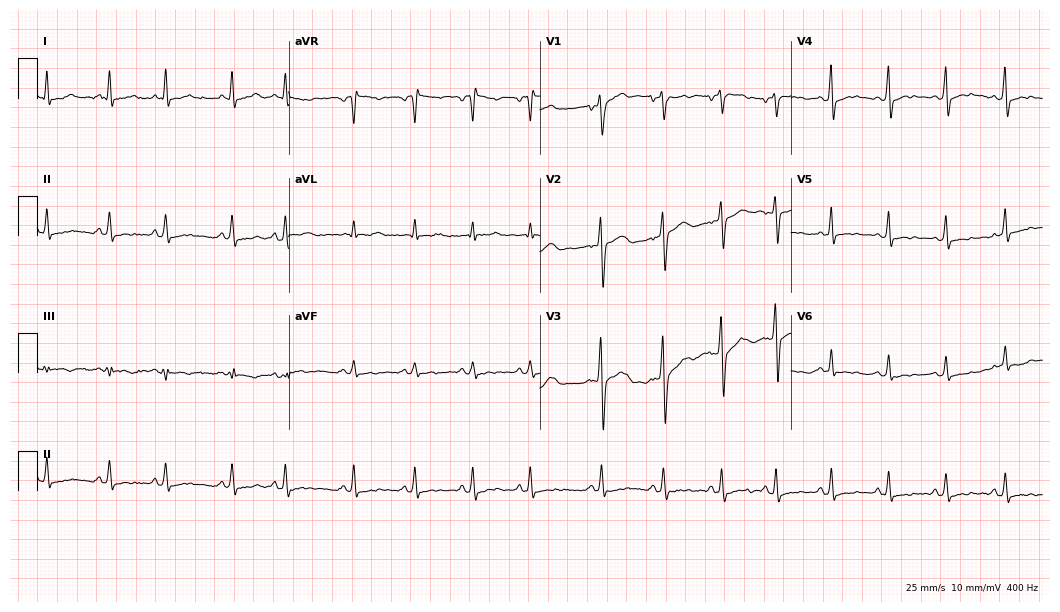
ECG — a male, 20 years old. Screened for six findings — first-degree AV block, right bundle branch block, left bundle branch block, sinus bradycardia, atrial fibrillation, sinus tachycardia — none is recorded.